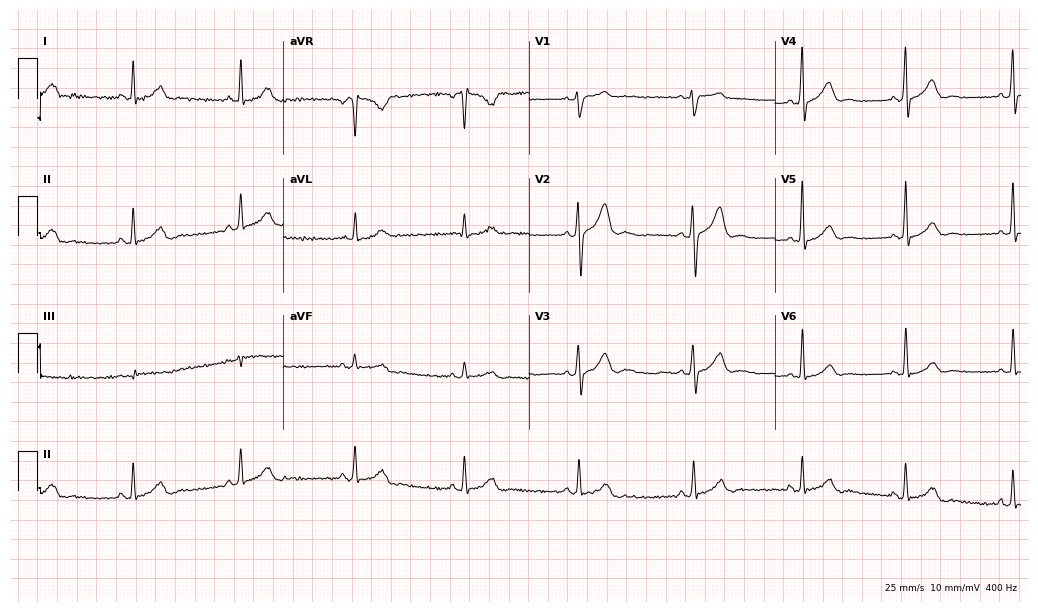
Resting 12-lead electrocardiogram (10-second recording at 400 Hz). Patient: a 26-year-old male. Read as a normal ECG.